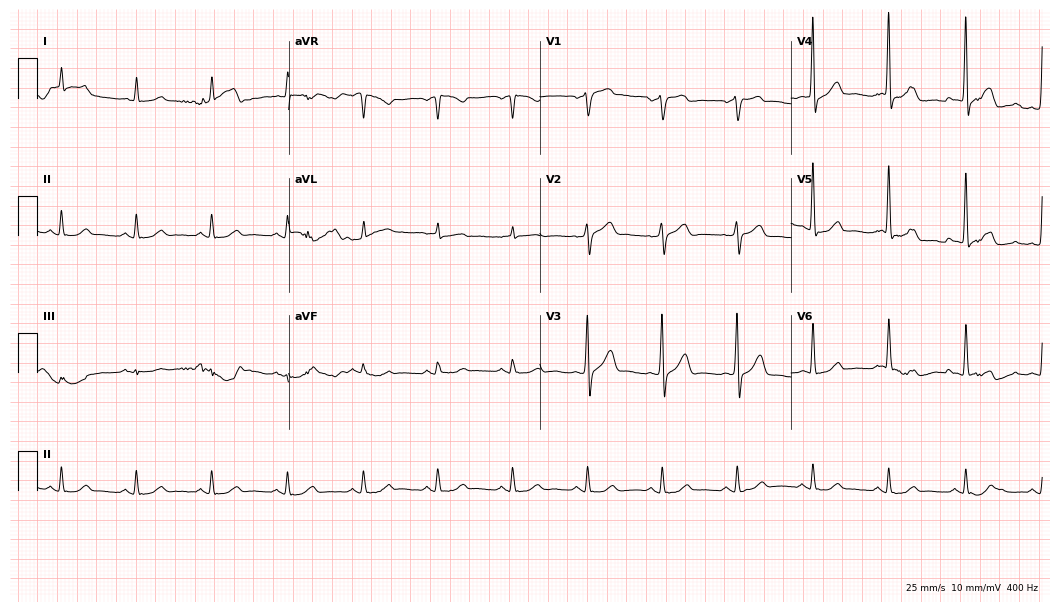
Standard 12-lead ECG recorded from an 82-year-old male patient. None of these six findings is recorded: first-degree AV block, right bundle branch block, left bundle branch block, sinus bradycardia, atrial fibrillation, sinus tachycardia. Findings outside these six are not listed.